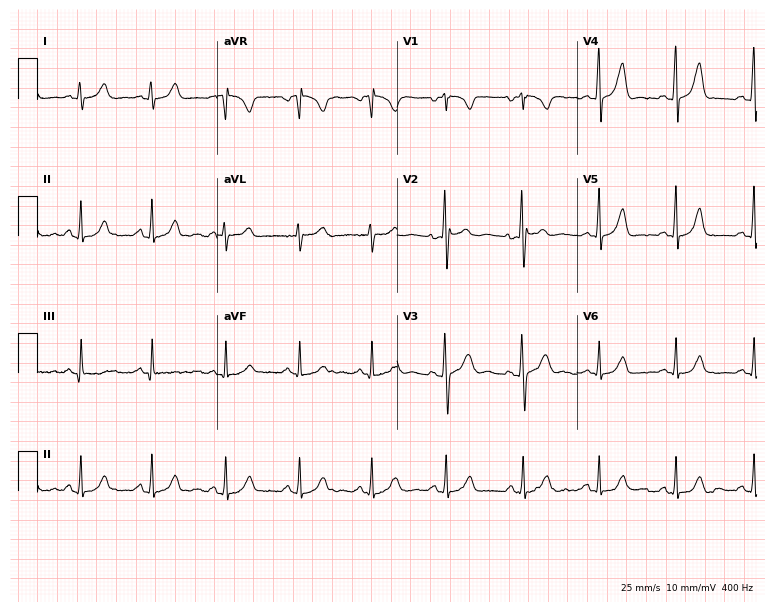
Standard 12-lead ECG recorded from a female patient, 31 years old. Read as a normal ECG.